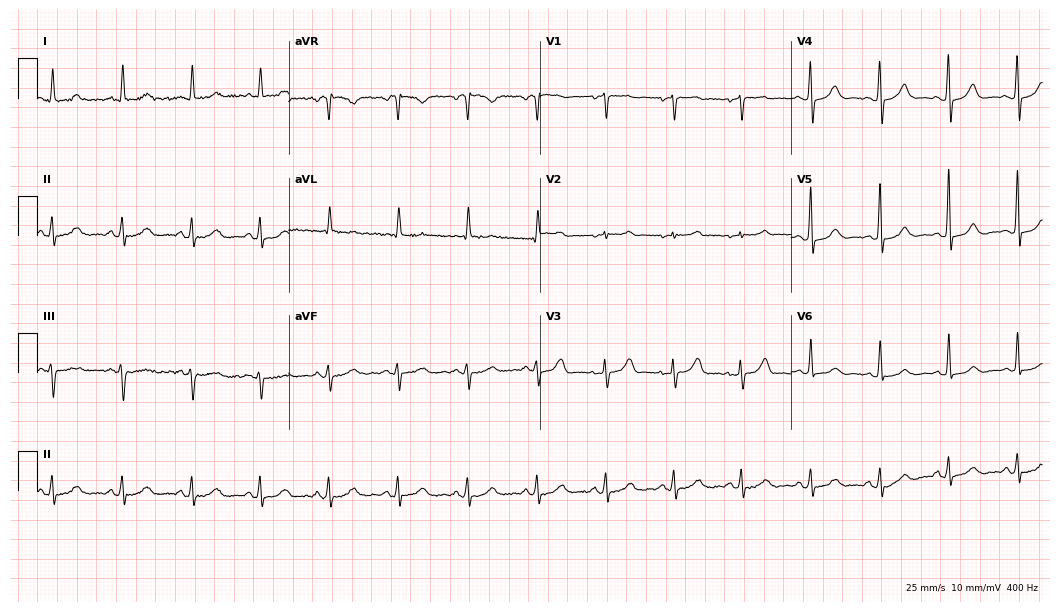
Standard 12-lead ECG recorded from a female, 64 years old (10.2-second recording at 400 Hz). None of these six findings is recorded: first-degree AV block, right bundle branch block (RBBB), left bundle branch block (LBBB), sinus bradycardia, atrial fibrillation (AF), sinus tachycardia.